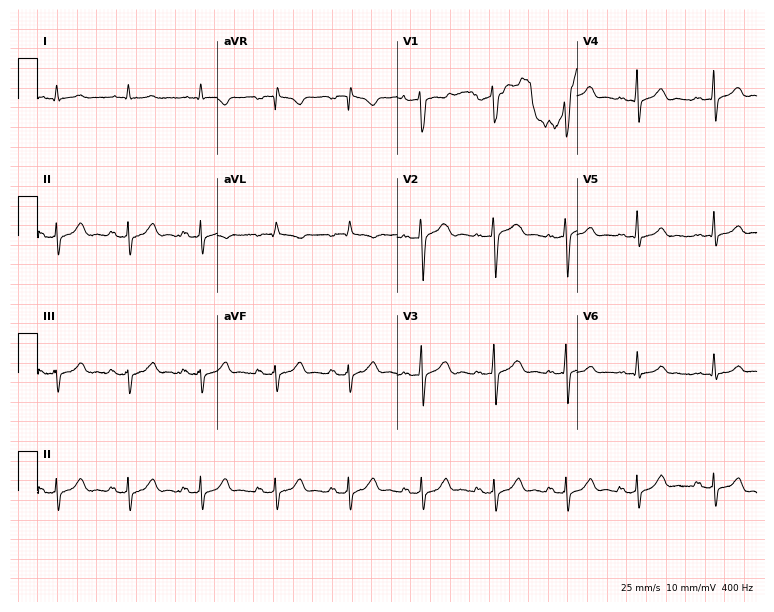
12-lead ECG from a male, 38 years old. Labelled as a normal ECG.